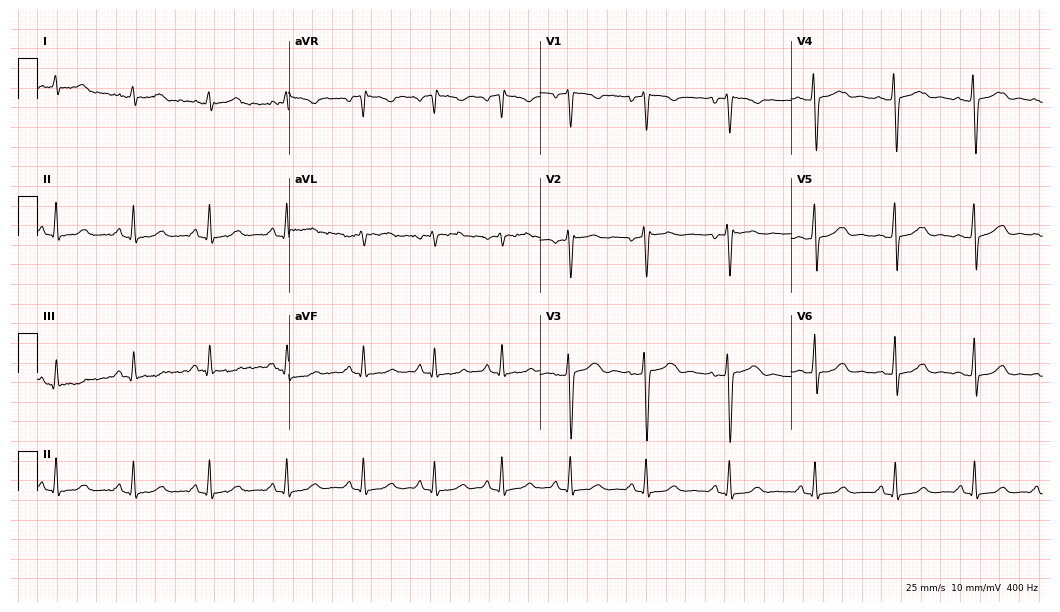
Standard 12-lead ECG recorded from a 33-year-old woman. Read as a normal ECG.